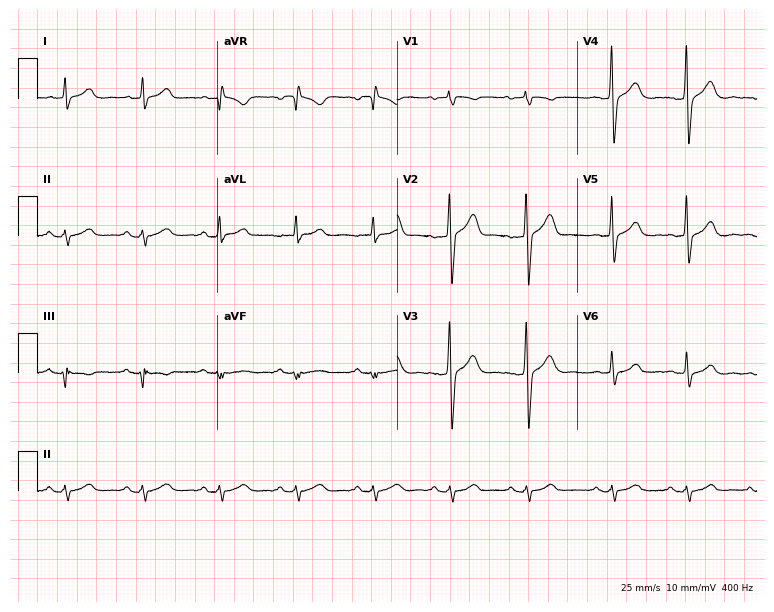
12-lead ECG from a male patient, 39 years old. No first-degree AV block, right bundle branch block (RBBB), left bundle branch block (LBBB), sinus bradycardia, atrial fibrillation (AF) or sinus tachycardia recorded for this tracing. Only these six findings were labelled.